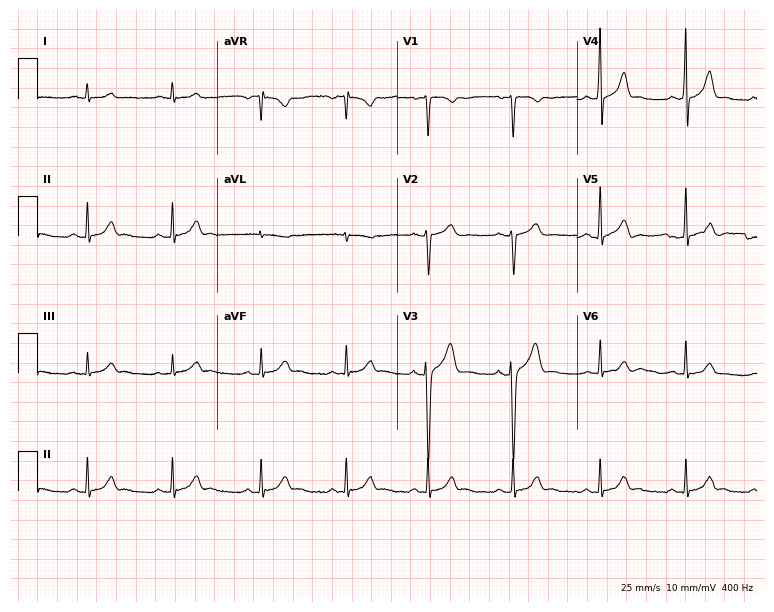
Standard 12-lead ECG recorded from a man, 20 years old. Read as a normal ECG.